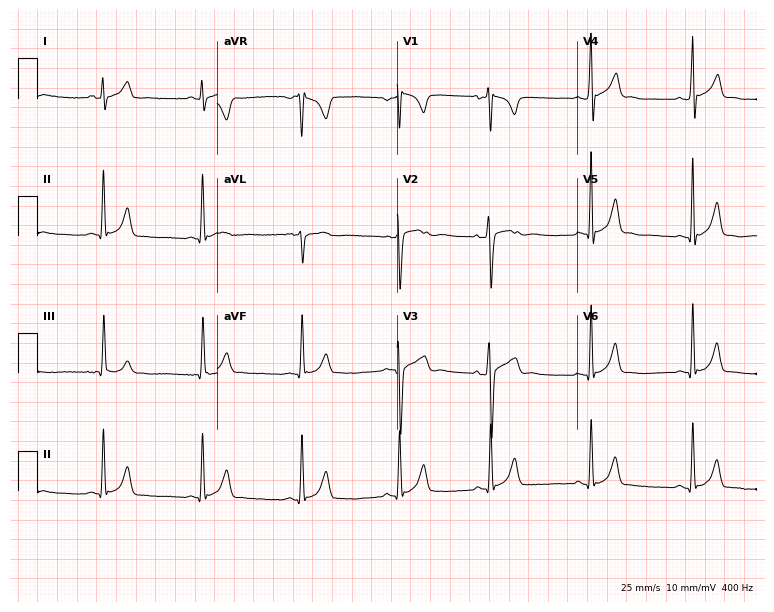
Resting 12-lead electrocardiogram. Patient: a 75-year-old woman. None of these six findings is recorded: first-degree AV block, right bundle branch block, left bundle branch block, sinus bradycardia, atrial fibrillation, sinus tachycardia.